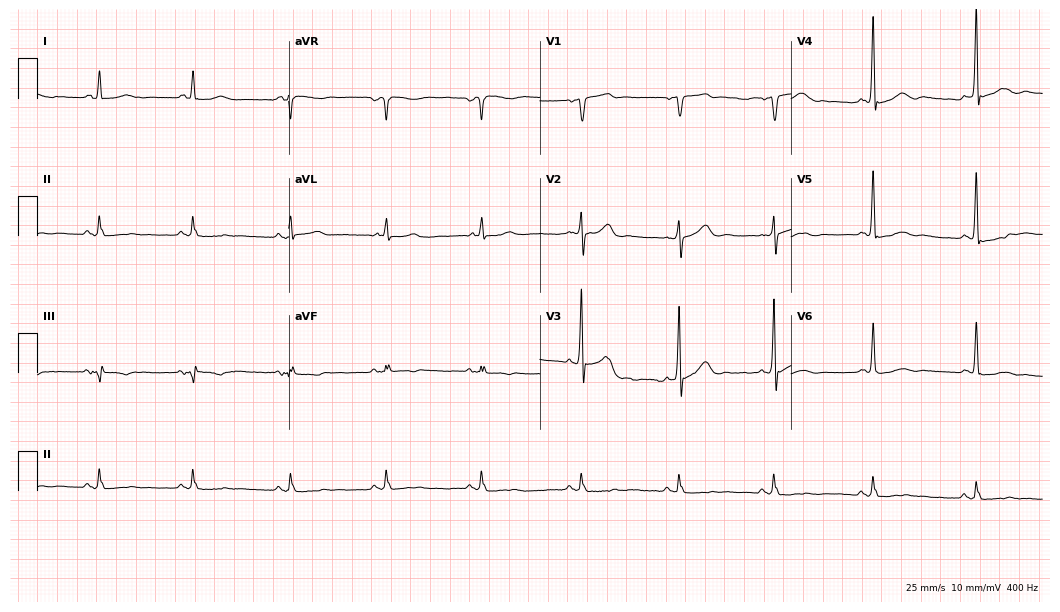
12-lead ECG from a 62-year-old male. Screened for six findings — first-degree AV block, right bundle branch block, left bundle branch block, sinus bradycardia, atrial fibrillation, sinus tachycardia — none is recorded. Findings outside these six are not listed.